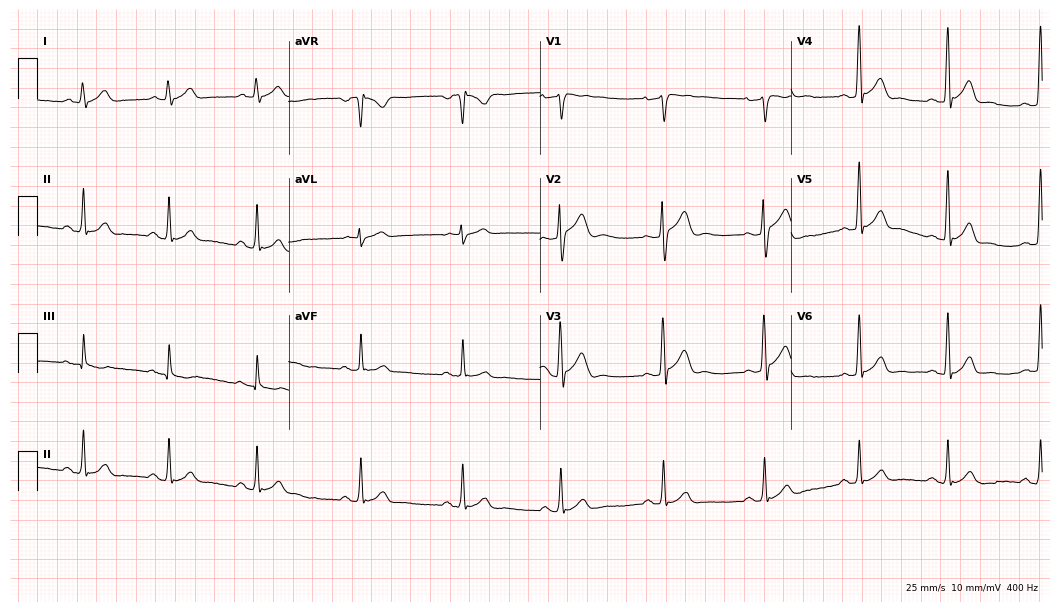
Electrocardiogram (10.2-second recording at 400 Hz), a 32-year-old male patient. Overall reading on record: normal ECG.